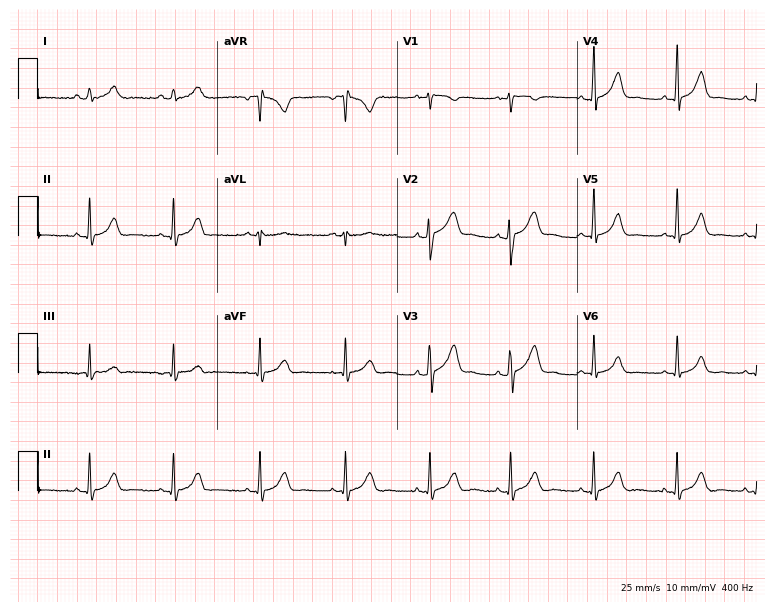
12-lead ECG from a woman, 33 years old. No first-degree AV block, right bundle branch block, left bundle branch block, sinus bradycardia, atrial fibrillation or sinus tachycardia recorded for this tracing. Only these six findings were labelled.